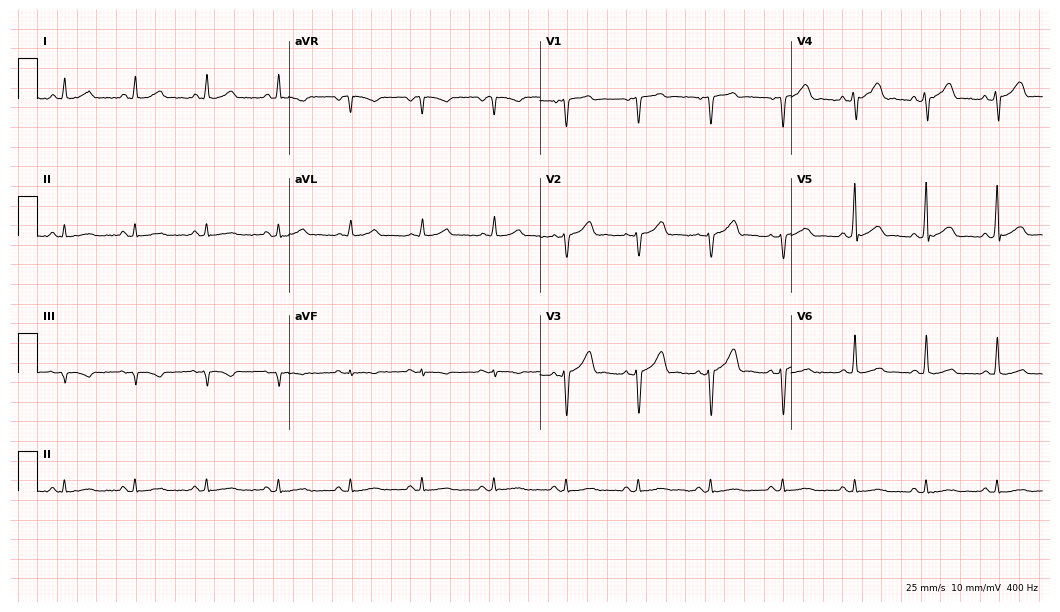
Resting 12-lead electrocardiogram. Patient: a 49-year-old man. None of these six findings is recorded: first-degree AV block, right bundle branch block, left bundle branch block, sinus bradycardia, atrial fibrillation, sinus tachycardia.